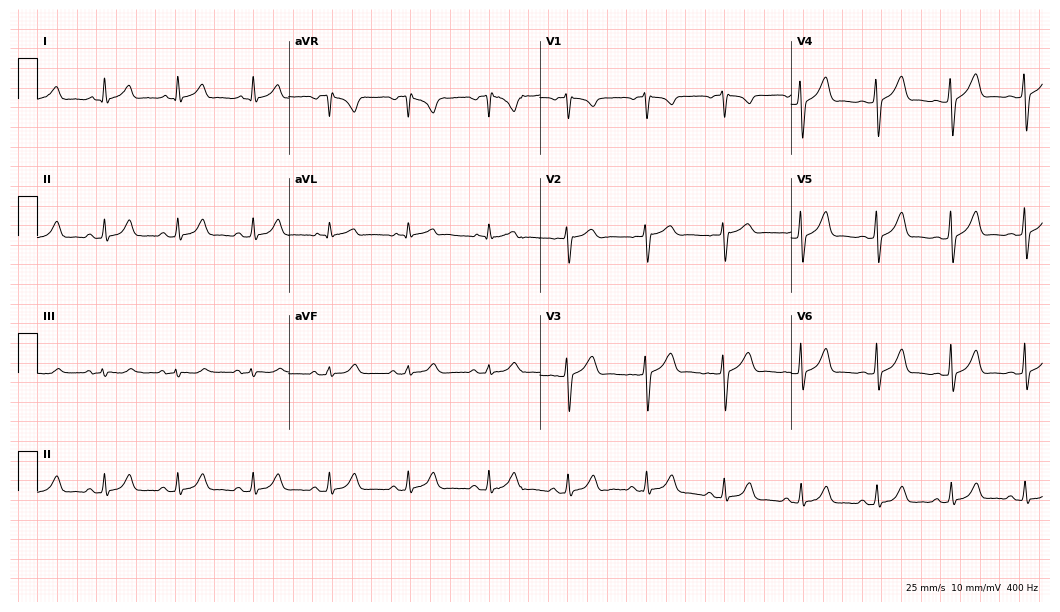
Resting 12-lead electrocardiogram (10.2-second recording at 400 Hz). Patient: a 33-year-old woman. Read as a normal ECG.